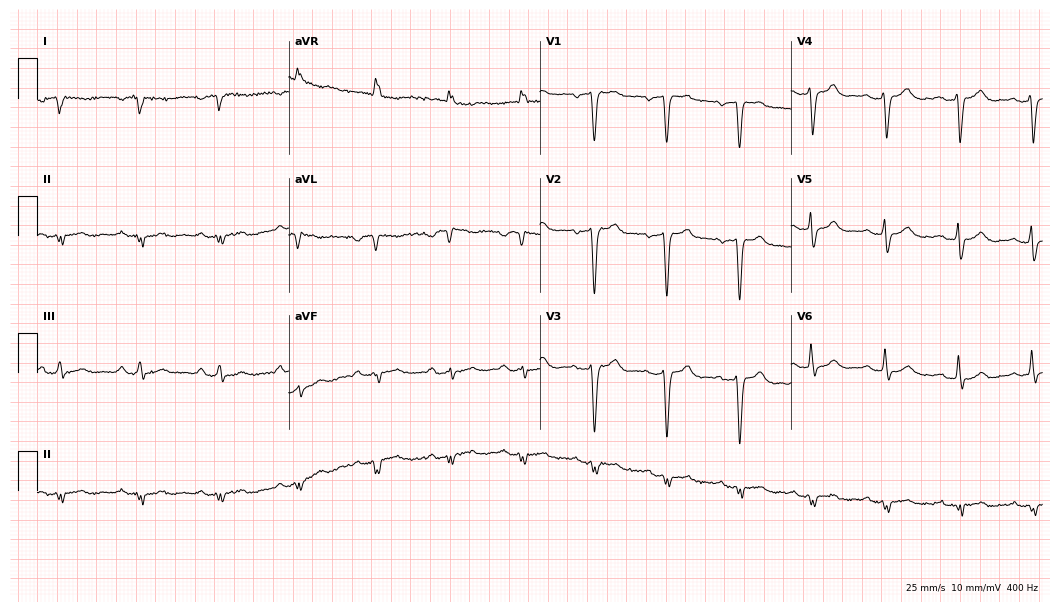
12-lead ECG from a 40-year-old male (10.2-second recording at 400 Hz). No first-degree AV block, right bundle branch block, left bundle branch block, sinus bradycardia, atrial fibrillation or sinus tachycardia recorded for this tracing. Findings outside these six are not listed.